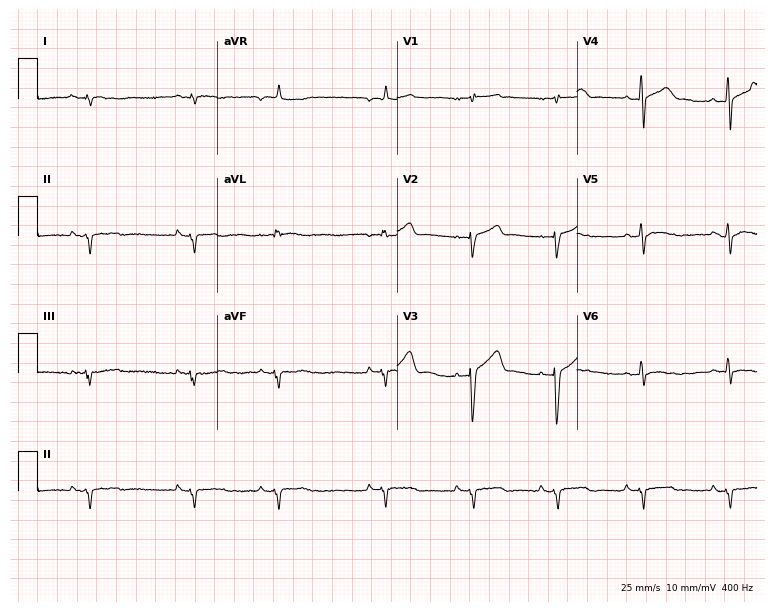
Standard 12-lead ECG recorded from a 34-year-old male patient. None of these six findings is recorded: first-degree AV block, right bundle branch block, left bundle branch block, sinus bradycardia, atrial fibrillation, sinus tachycardia.